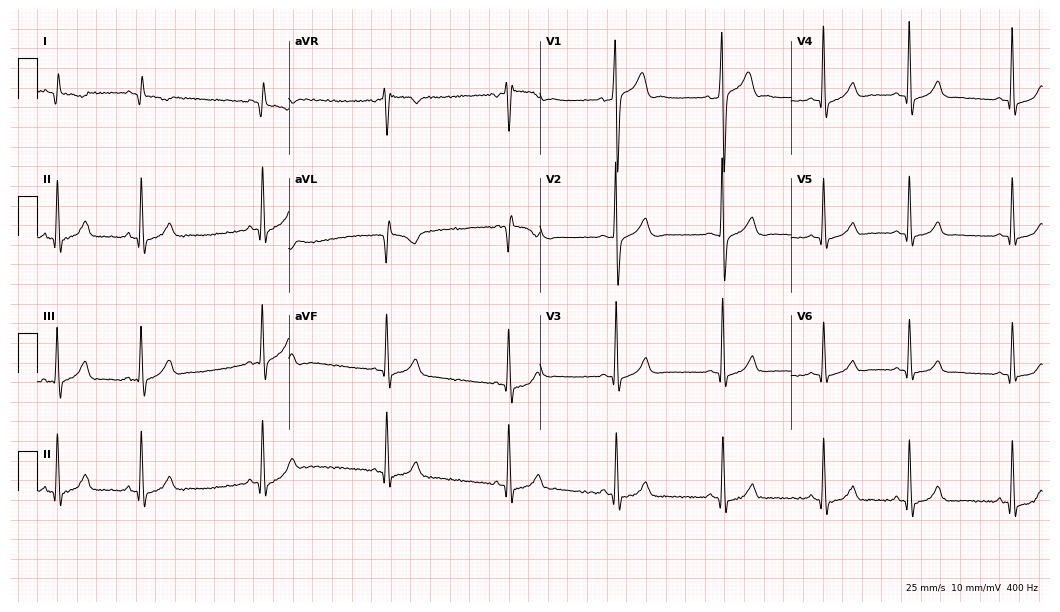
Resting 12-lead electrocardiogram (10.2-second recording at 400 Hz). Patient: a 30-year-old male. None of these six findings is recorded: first-degree AV block, right bundle branch block, left bundle branch block, sinus bradycardia, atrial fibrillation, sinus tachycardia.